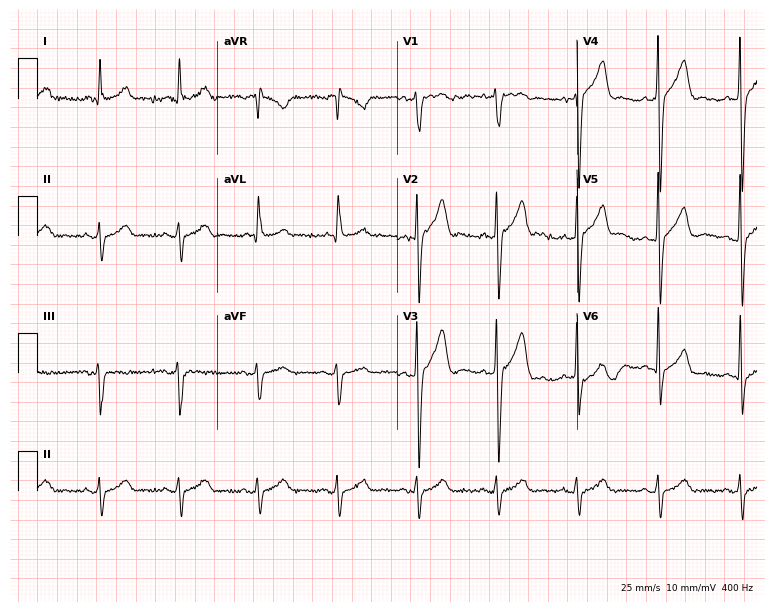
12-lead ECG from a man, 57 years old (7.3-second recording at 400 Hz). No first-degree AV block, right bundle branch block, left bundle branch block, sinus bradycardia, atrial fibrillation or sinus tachycardia recorded for this tracing.